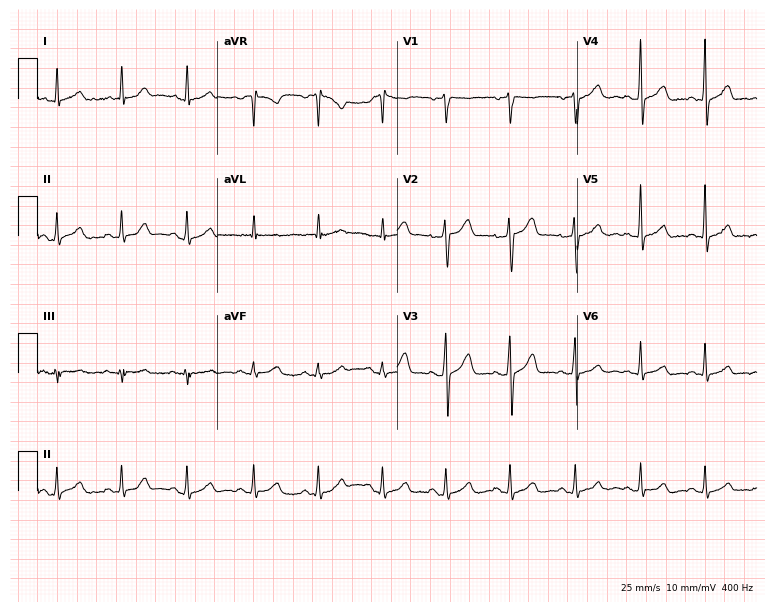
12-lead ECG from a male, 50 years old. Labelled as a normal ECG.